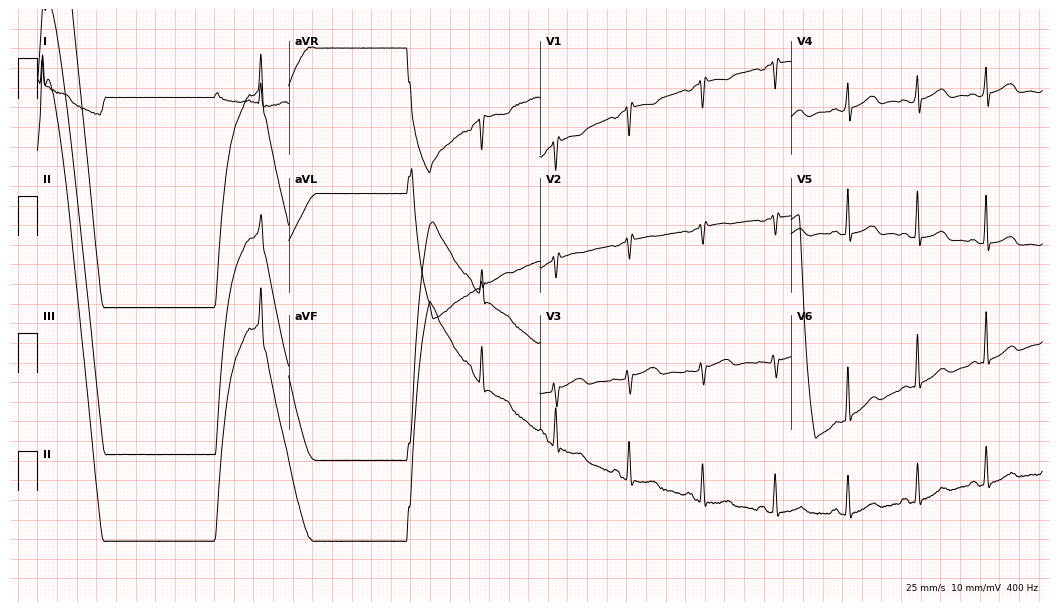
12-lead ECG from a 64-year-old woman. No first-degree AV block, right bundle branch block, left bundle branch block, sinus bradycardia, atrial fibrillation or sinus tachycardia recorded for this tracing.